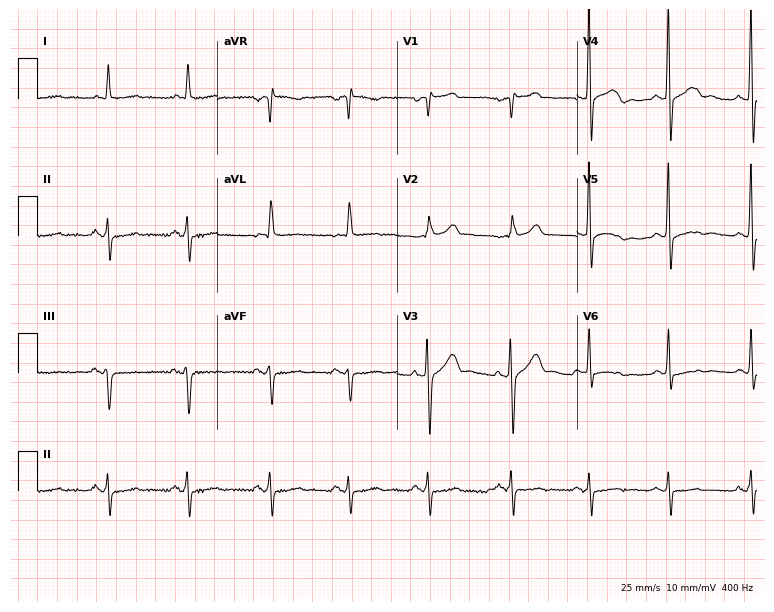
ECG (7.3-second recording at 400 Hz) — a 66-year-old man. Screened for six findings — first-degree AV block, right bundle branch block, left bundle branch block, sinus bradycardia, atrial fibrillation, sinus tachycardia — none is recorded.